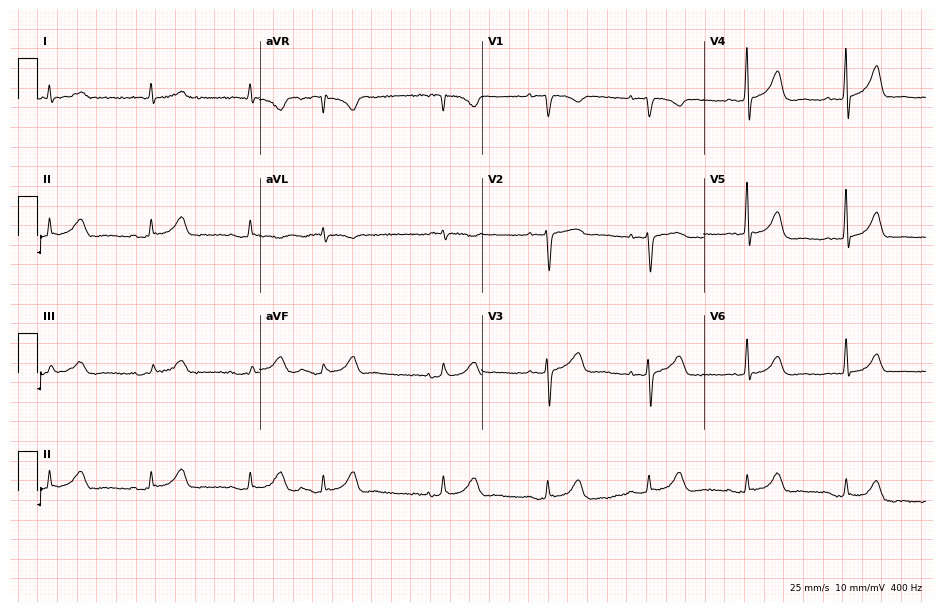
ECG — an 83-year-old man. Screened for six findings — first-degree AV block, right bundle branch block, left bundle branch block, sinus bradycardia, atrial fibrillation, sinus tachycardia — none is recorded.